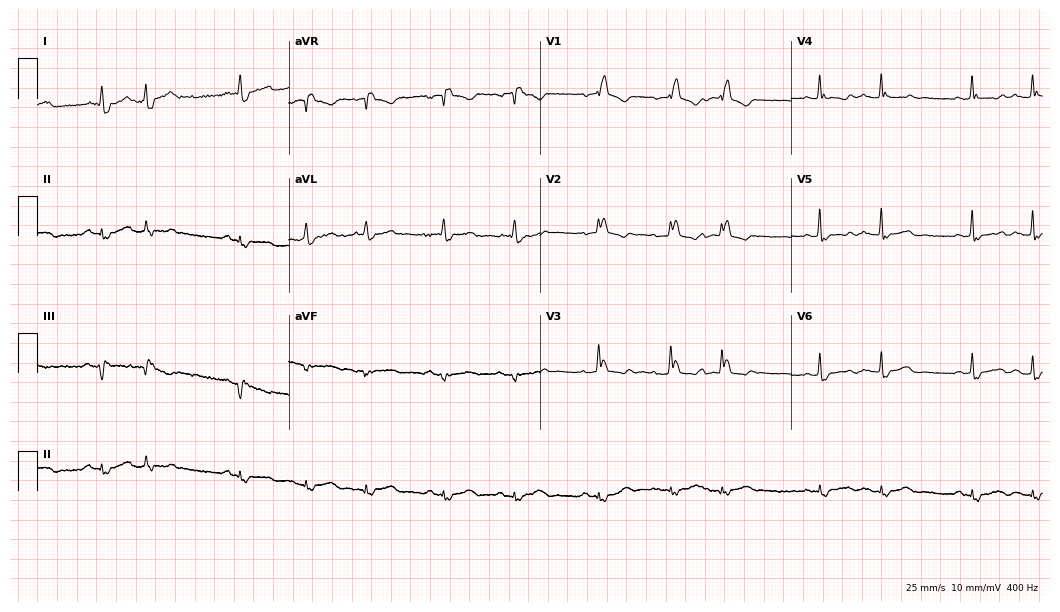
12-lead ECG from an 80-year-old female patient. Shows right bundle branch block (RBBB), atrial fibrillation (AF).